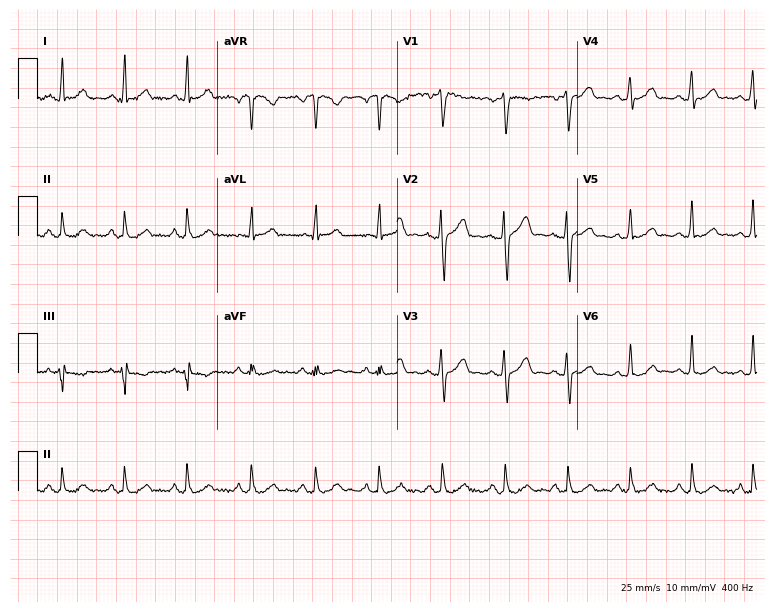
Standard 12-lead ECG recorded from a male, 35 years old. Read as a normal ECG.